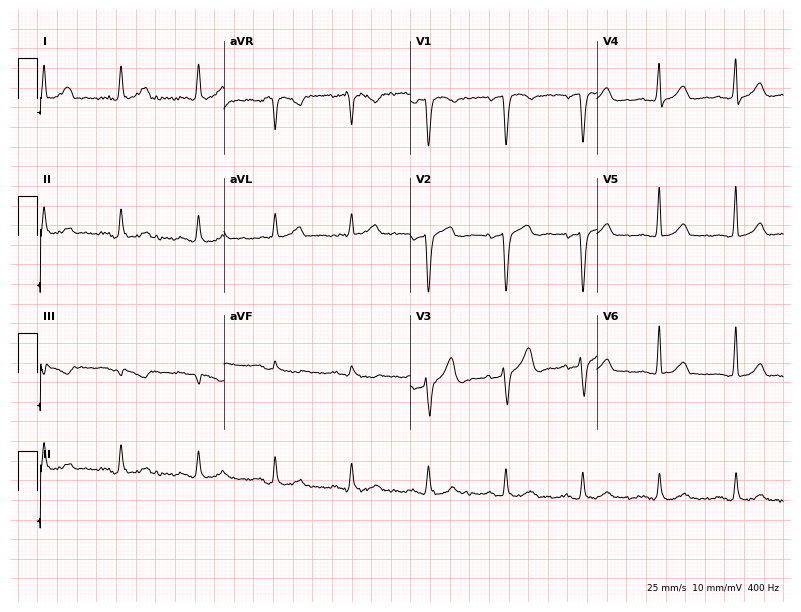
ECG — a 74-year-old male patient. Labelled as a normal ECG.